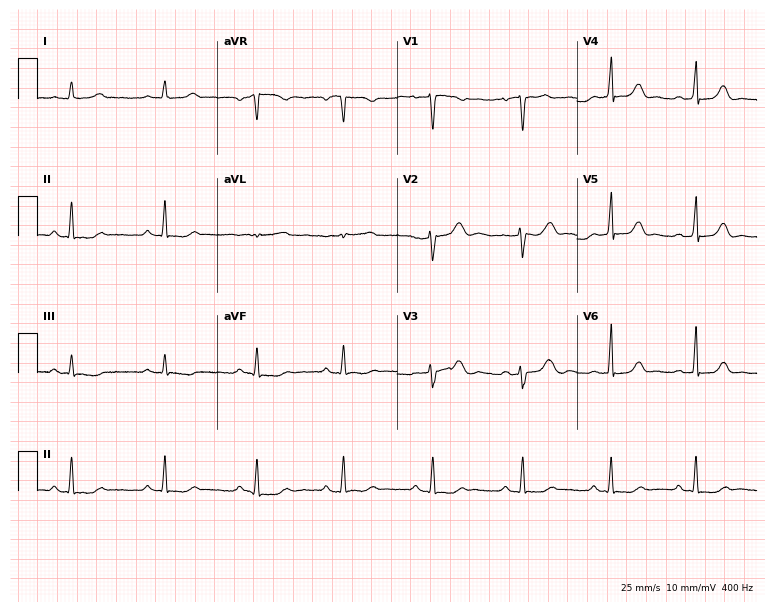
Electrocardiogram, a 43-year-old woman. Of the six screened findings (first-degree AV block, right bundle branch block, left bundle branch block, sinus bradycardia, atrial fibrillation, sinus tachycardia), none is recorded. Findings outside these six are not listed.